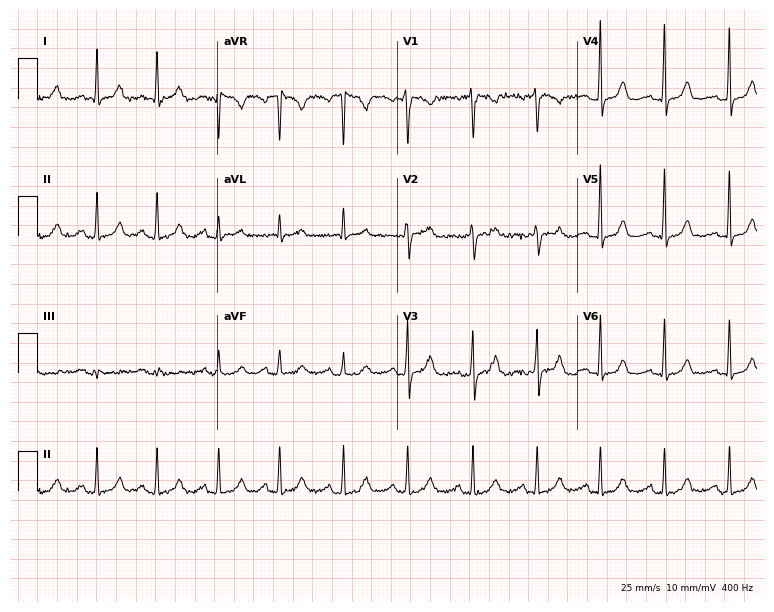
ECG (7.3-second recording at 400 Hz) — a woman, 40 years old. Labelled as a normal ECG.